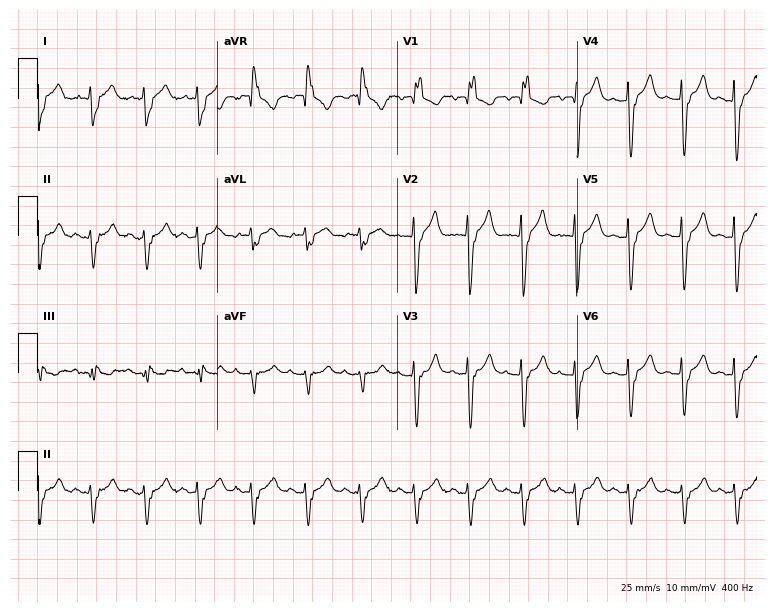
Resting 12-lead electrocardiogram (7.3-second recording at 400 Hz). Patient: a woman, 87 years old. The tracing shows right bundle branch block (RBBB), sinus tachycardia (a sinus rate of 100 beats per minute or more).